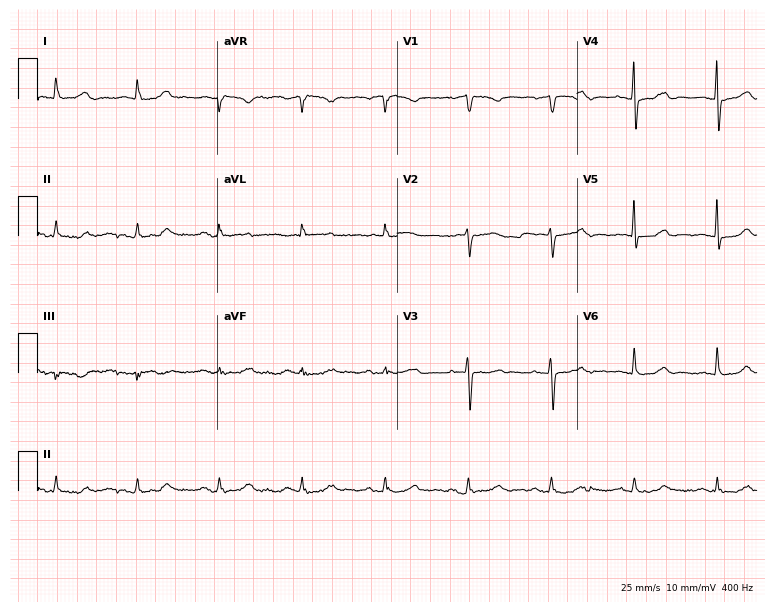
Resting 12-lead electrocardiogram. Patient: a 78-year-old female. None of these six findings is recorded: first-degree AV block, right bundle branch block, left bundle branch block, sinus bradycardia, atrial fibrillation, sinus tachycardia. Findings outside these six are not listed.